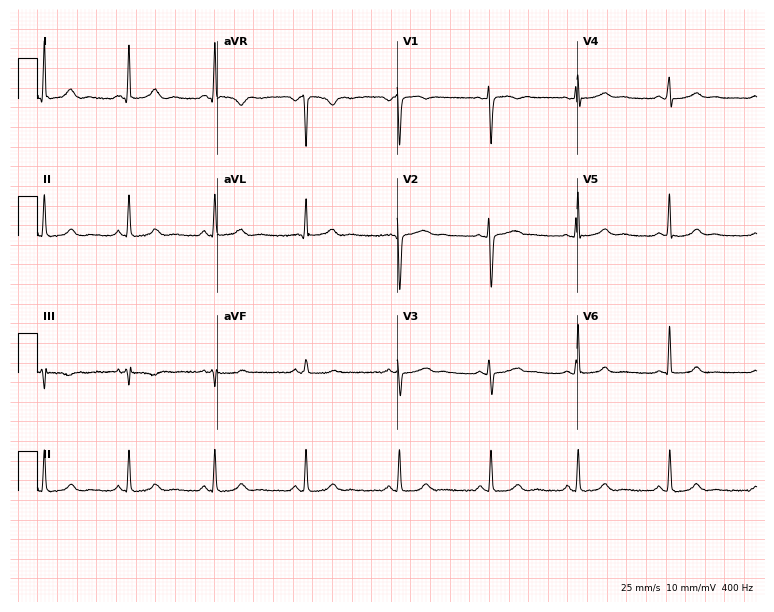
Standard 12-lead ECG recorded from a 37-year-old female patient. Read as a normal ECG.